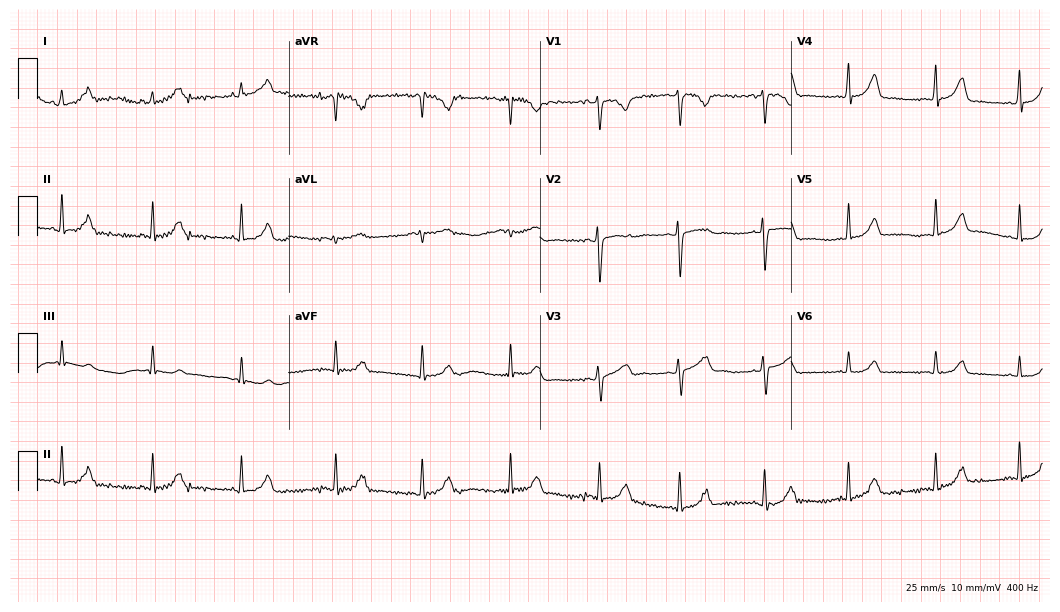
12-lead ECG from a 24-year-old female patient (10.2-second recording at 400 Hz). No first-degree AV block, right bundle branch block (RBBB), left bundle branch block (LBBB), sinus bradycardia, atrial fibrillation (AF) or sinus tachycardia recorded for this tracing. Findings outside these six are not listed.